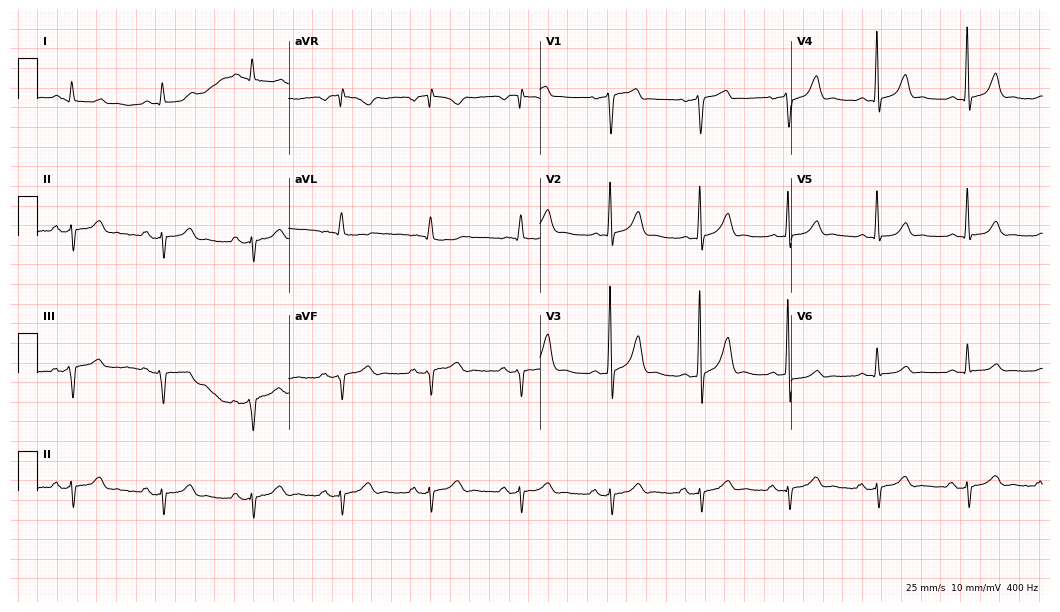
Resting 12-lead electrocardiogram (10.2-second recording at 400 Hz). Patient: a 74-year-old man. None of these six findings is recorded: first-degree AV block, right bundle branch block (RBBB), left bundle branch block (LBBB), sinus bradycardia, atrial fibrillation (AF), sinus tachycardia. Only these six findings were labelled.